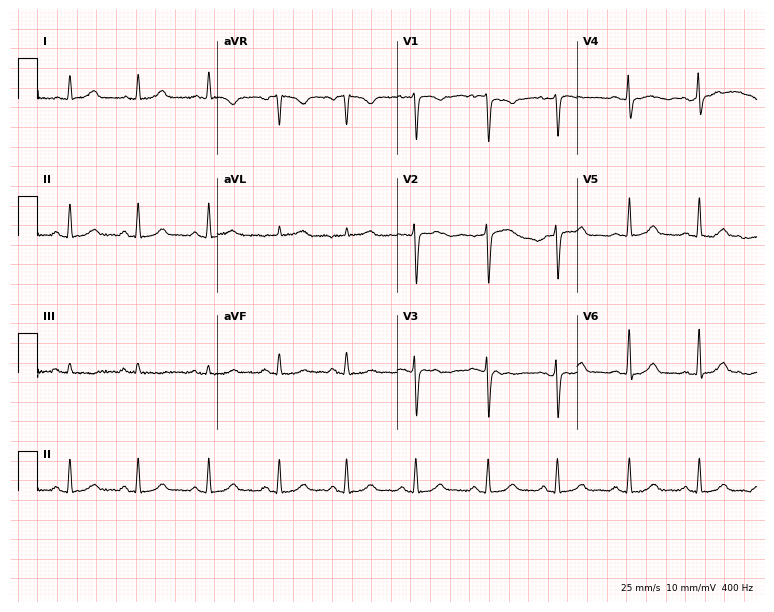
12-lead ECG from a 33-year-old woman. Recorded interpretation: within normal limits.